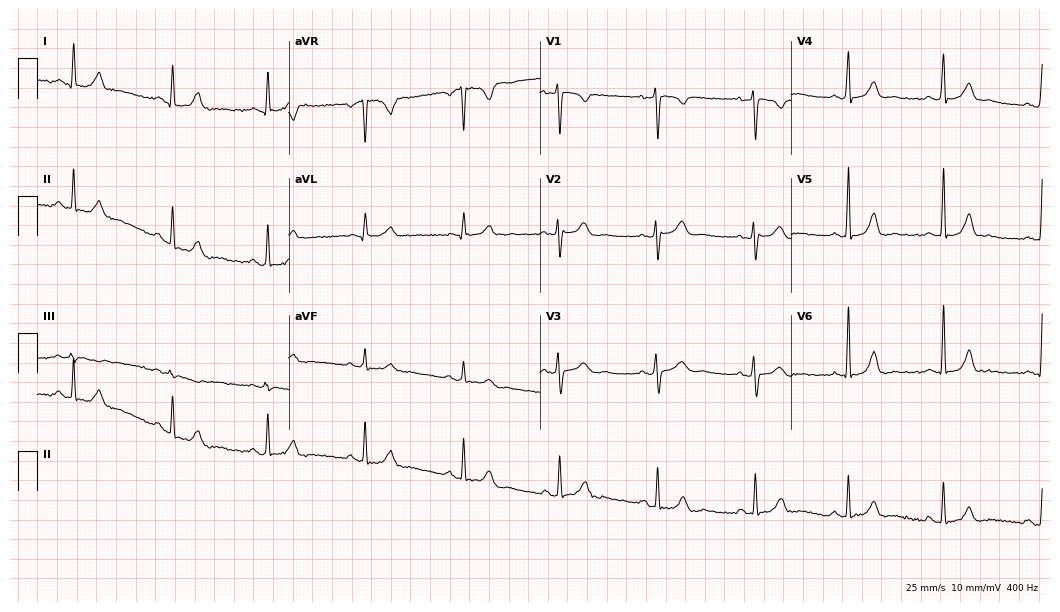
12-lead ECG from a woman, 29 years old (10.2-second recording at 400 Hz). No first-degree AV block, right bundle branch block (RBBB), left bundle branch block (LBBB), sinus bradycardia, atrial fibrillation (AF) or sinus tachycardia recorded for this tracing. Only these six findings were labelled.